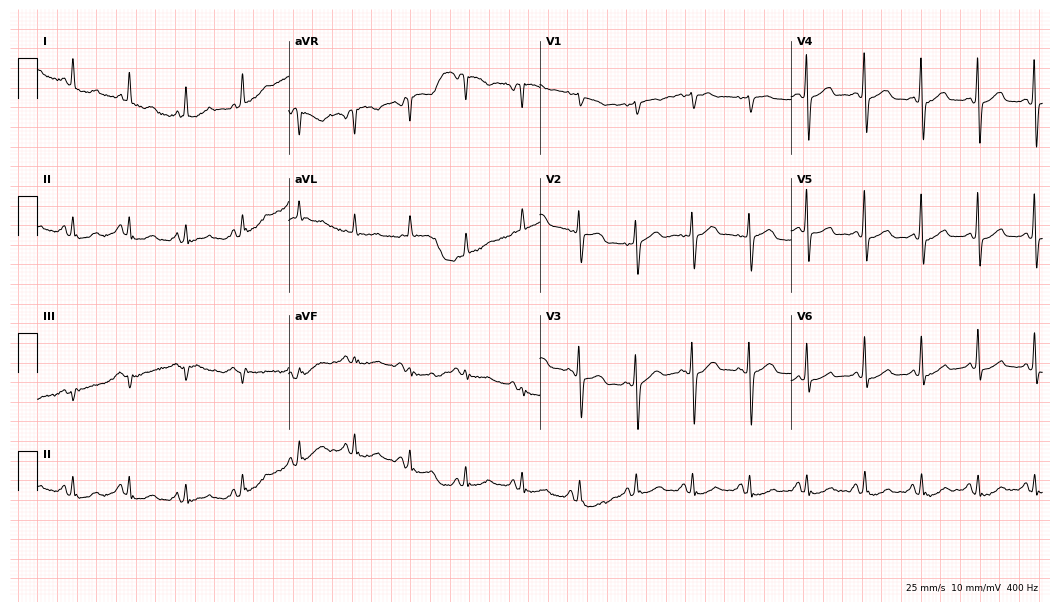
Standard 12-lead ECG recorded from a woman, 85 years old (10.2-second recording at 400 Hz). The tracing shows sinus tachycardia (a sinus rate of 100 beats per minute or more).